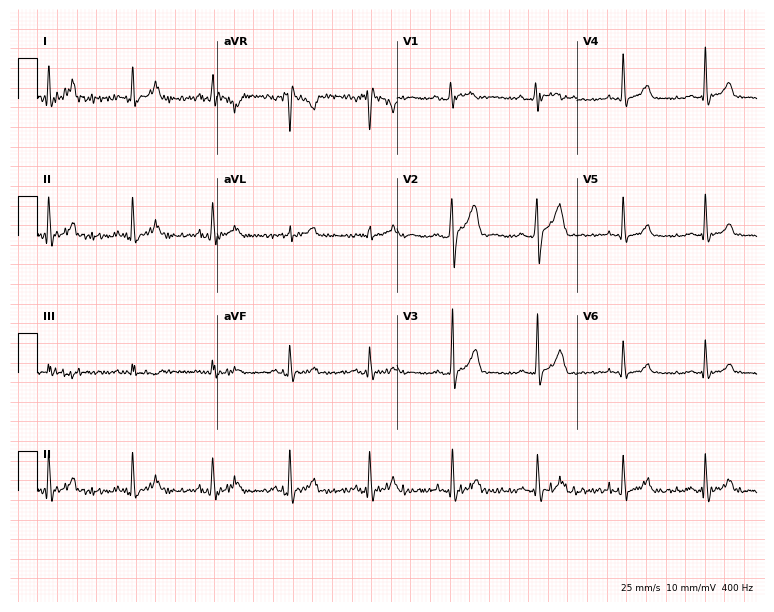
Electrocardiogram (7.3-second recording at 400 Hz), a male, 29 years old. Overall reading on record: normal ECG.